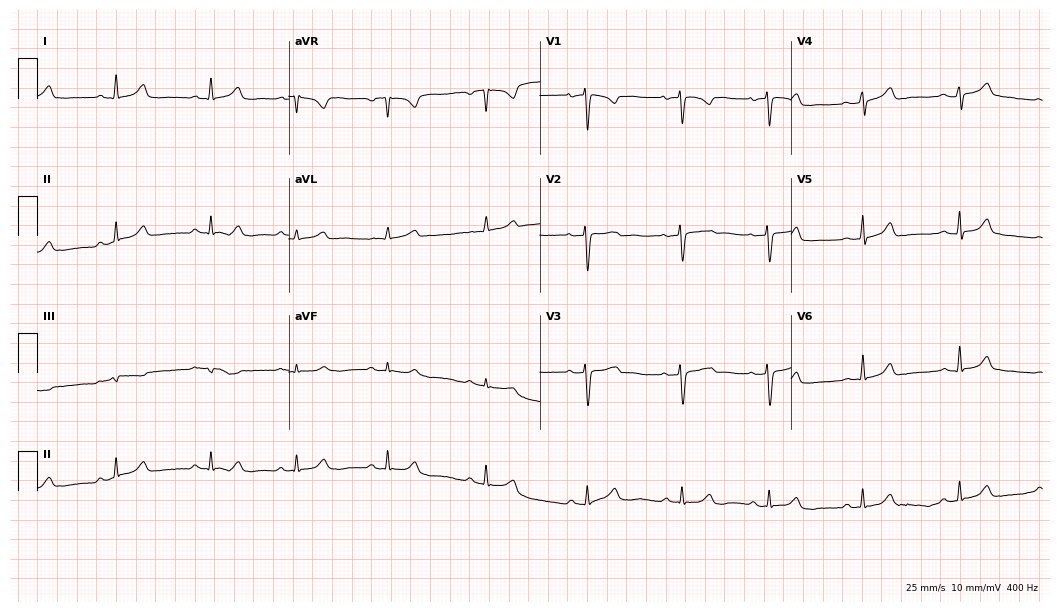
Resting 12-lead electrocardiogram. Patient: a 33-year-old woman. Read as a normal ECG.